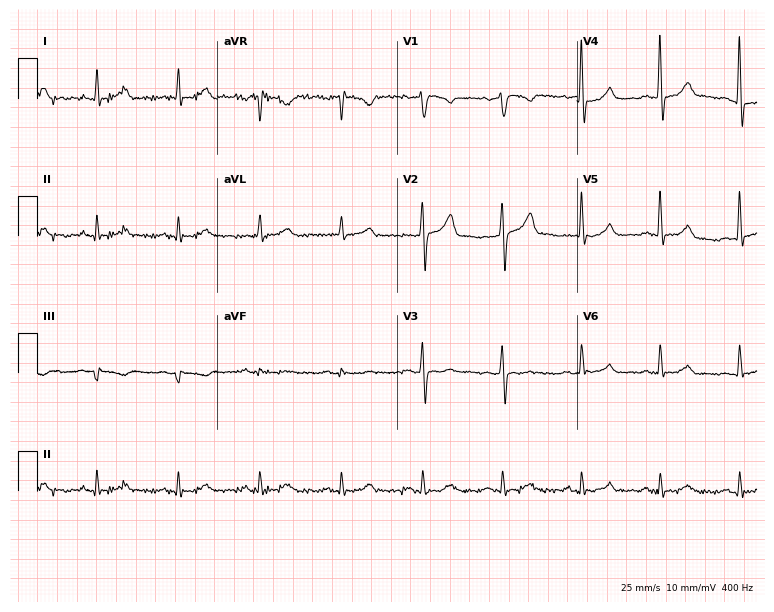
12-lead ECG (7.3-second recording at 400 Hz) from a 55-year-old male. Labelled as a normal ECG.